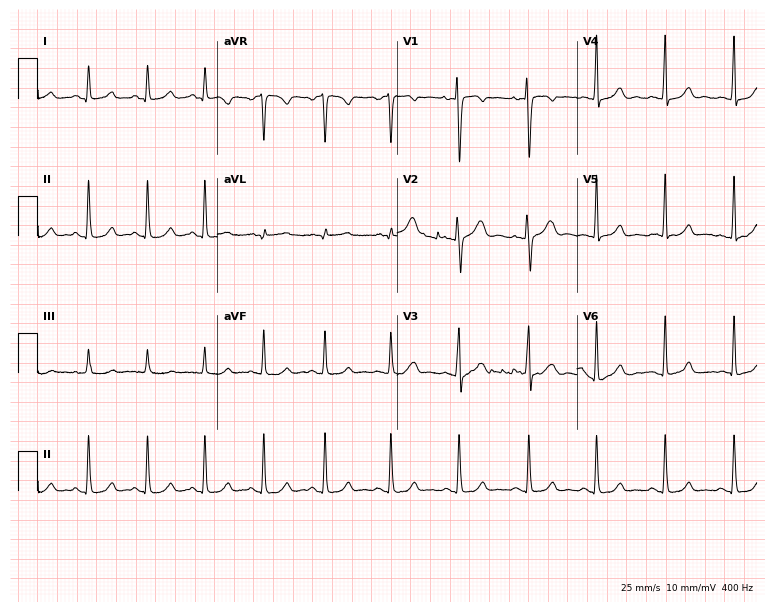
Electrocardiogram (7.3-second recording at 400 Hz), a woman, 23 years old. Overall reading on record: normal ECG.